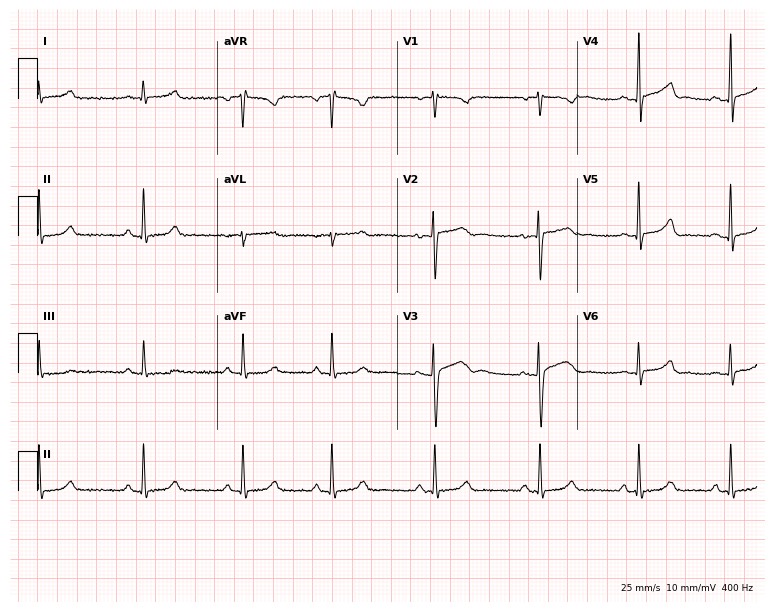
12-lead ECG from a female patient, 19 years old. Screened for six findings — first-degree AV block, right bundle branch block, left bundle branch block, sinus bradycardia, atrial fibrillation, sinus tachycardia — none is recorded.